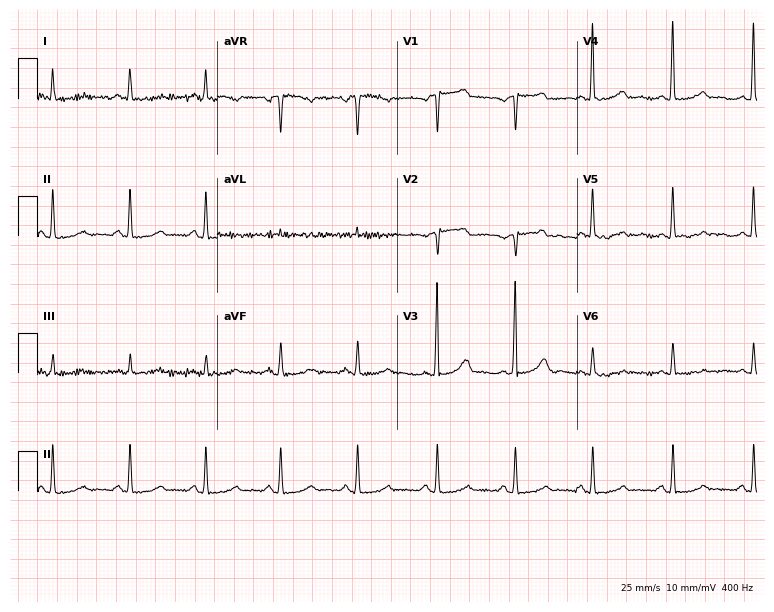
ECG — a female patient, 51 years old. Labelled as a normal ECG.